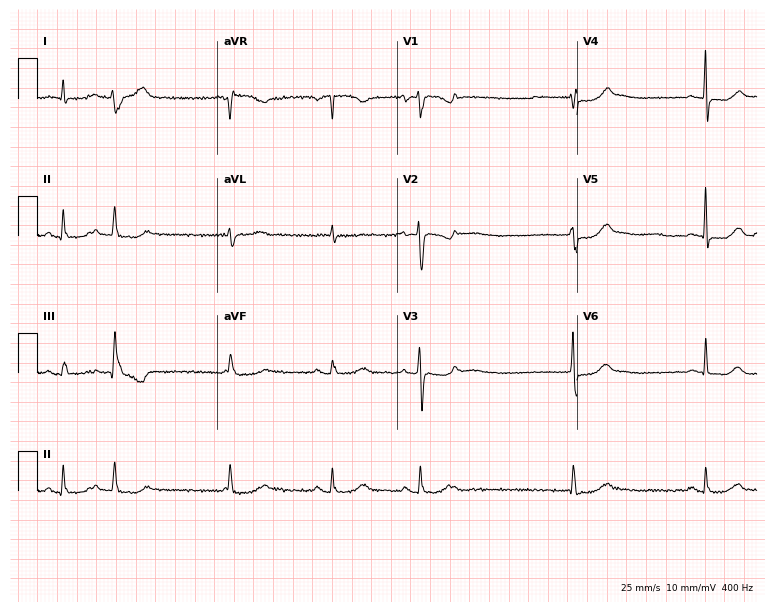
Standard 12-lead ECG recorded from a 72-year-old woman (7.3-second recording at 400 Hz). None of these six findings is recorded: first-degree AV block, right bundle branch block, left bundle branch block, sinus bradycardia, atrial fibrillation, sinus tachycardia.